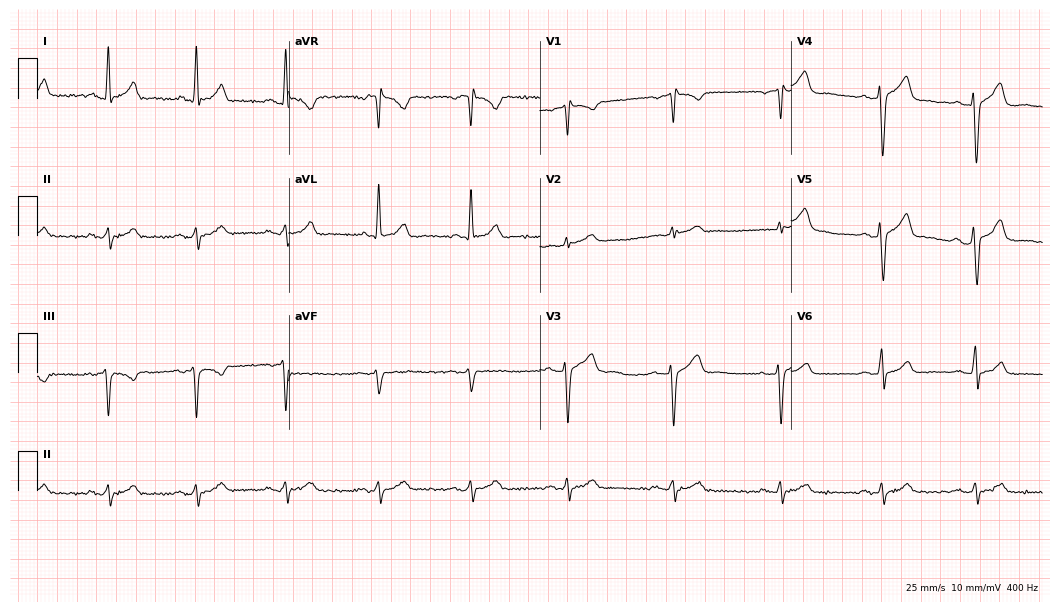
Electrocardiogram (10.2-second recording at 400 Hz), a 46-year-old male patient. Of the six screened findings (first-degree AV block, right bundle branch block, left bundle branch block, sinus bradycardia, atrial fibrillation, sinus tachycardia), none is recorded.